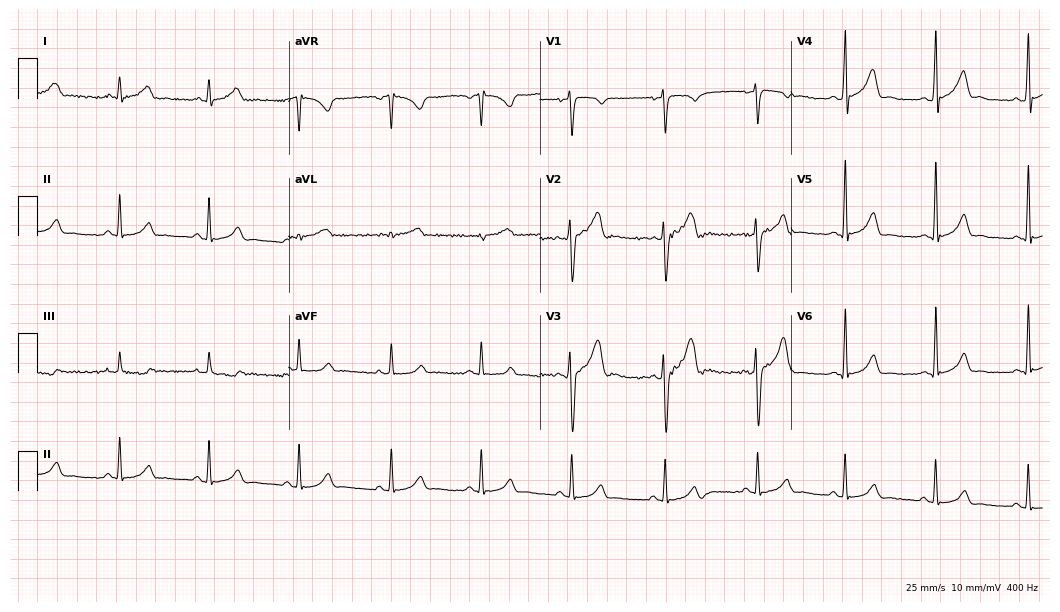
Electrocardiogram (10.2-second recording at 400 Hz), a 25-year-old male. Overall reading on record: normal ECG.